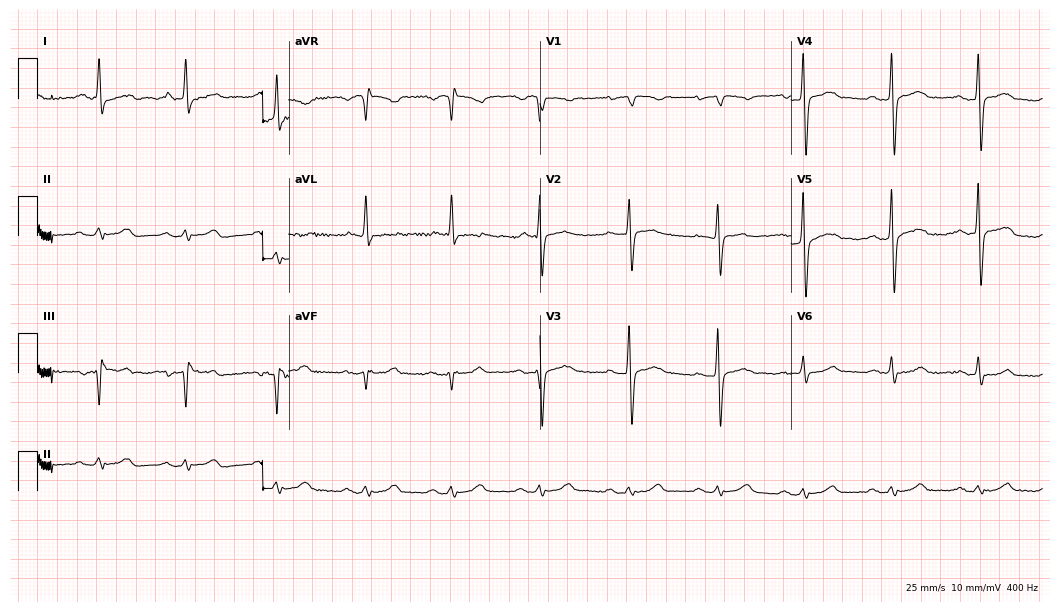
Resting 12-lead electrocardiogram (10.2-second recording at 400 Hz). Patient: a 77-year-old man. None of these six findings is recorded: first-degree AV block, right bundle branch block, left bundle branch block, sinus bradycardia, atrial fibrillation, sinus tachycardia.